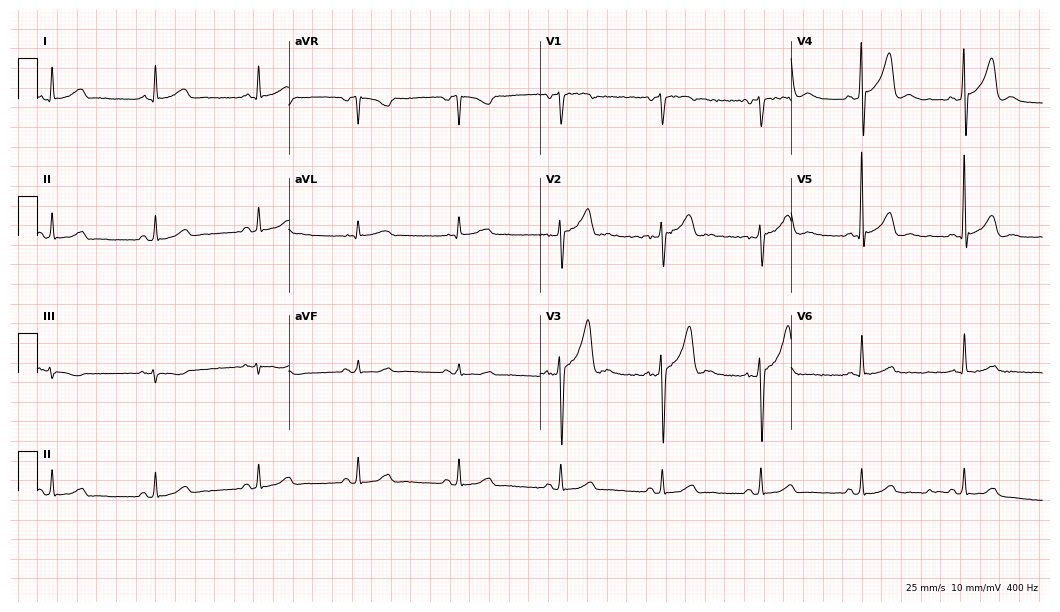
Resting 12-lead electrocardiogram. Patient: a 45-year-old male. Read as a normal ECG.